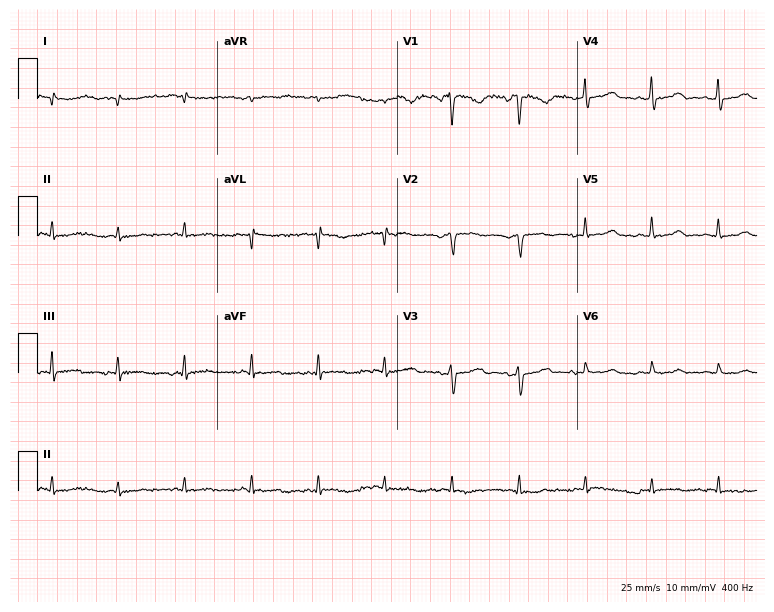
12-lead ECG from a 52-year-old female. No first-degree AV block, right bundle branch block, left bundle branch block, sinus bradycardia, atrial fibrillation or sinus tachycardia recorded for this tracing. Only these six findings were labelled.